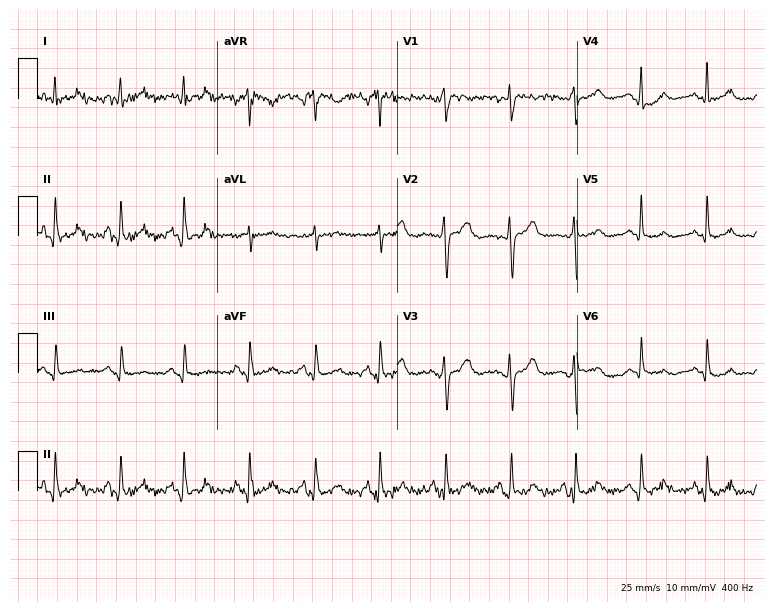
Standard 12-lead ECG recorded from a 50-year-old female. Read as a normal ECG.